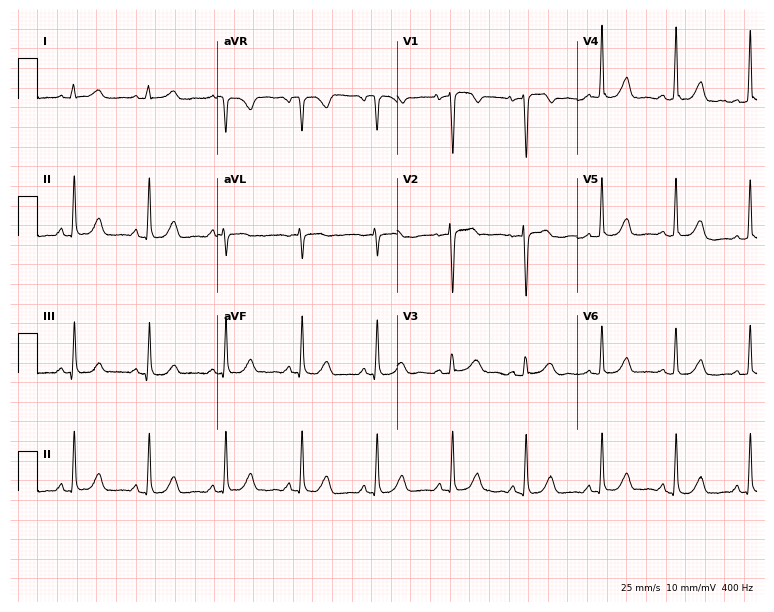
12-lead ECG (7.3-second recording at 400 Hz) from a 45-year-old female. Labelled as a normal ECG.